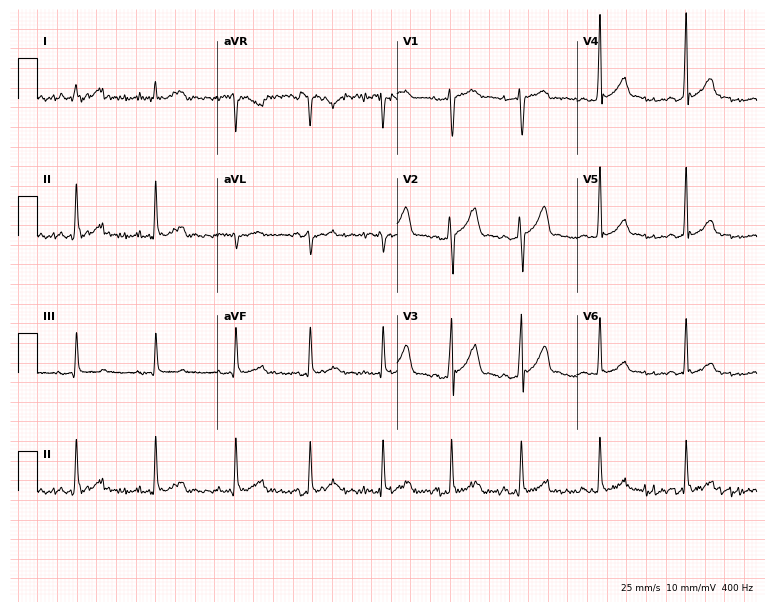
Resting 12-lead electrocardiogram (7.3-second recording at 400 Hz). Patient: a male, 24 years old. None of these six findings is recorded: first-degree AV block, right bundle branch block, left bundle branch block, sinus bradycardia, atrial fibrillation, sinus tachycardia.